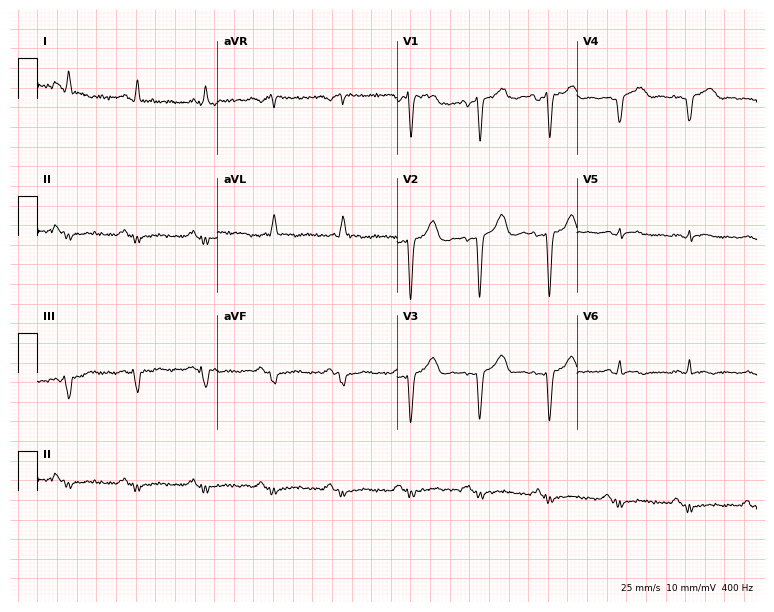
Standard 12-lead ECG recorded from a male patient, 63 years old. None of these six findings is recorded: first-degree AV block, right bundle branch block, left bundle branch block, sinus bradycardia, atrial fibrillation, sinus tachycardia. Other findings, if any, are not listed.